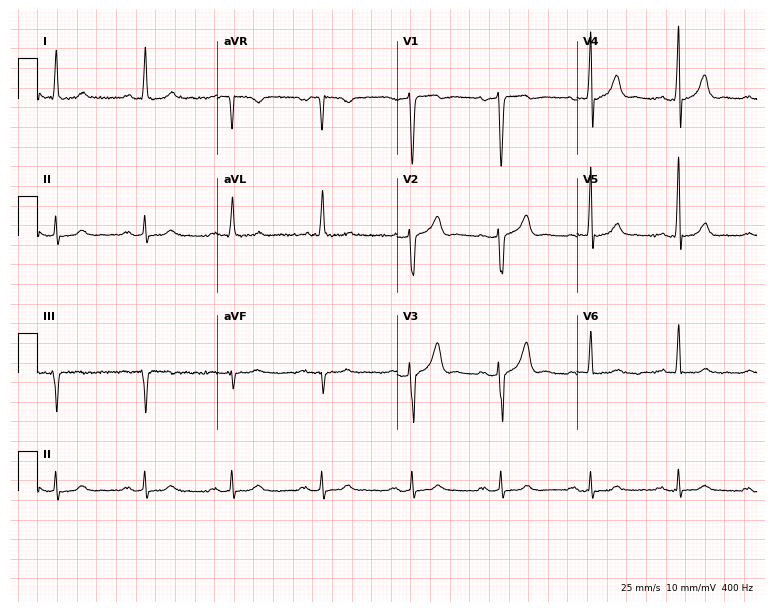
Resting 12-lead electrocardiogram (7.3-second recording at 400 Hz). Patient: a male, 61 years old. Read as a normal ECG.